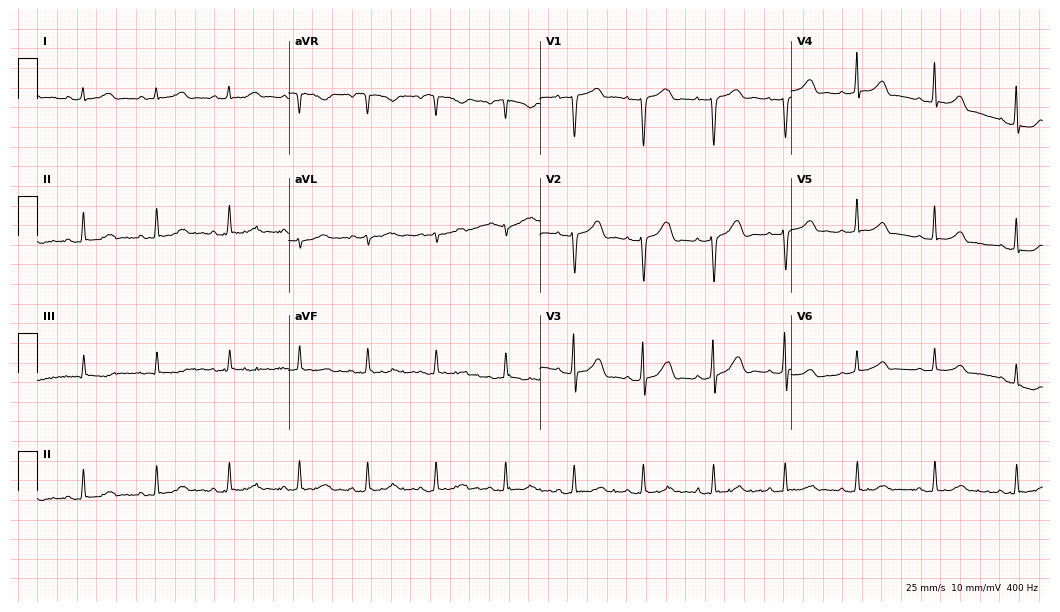
Electrocardiogram (10.2-second recording at 400 Hz), a female, 34 years old. Of the six screened findings (first-degree AV block, right bundle branch block, left bundle branch block, sinus bradycardia, atrial fibrillation, sinus tachycardia), none is recorded. Only these six findings were labelled.